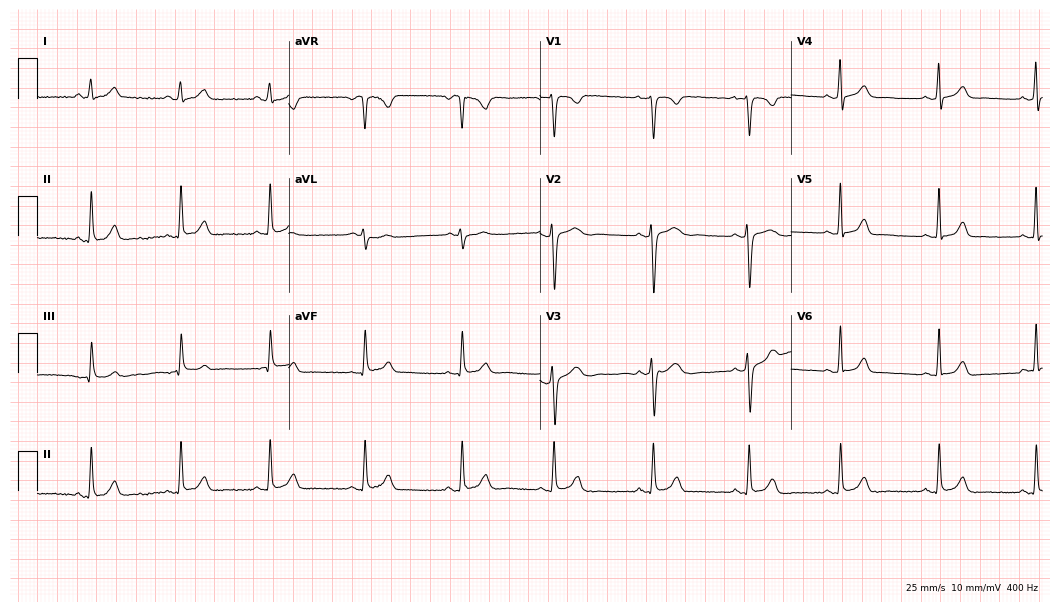
12-lead ECG (10.2-second recording at 400 Hz) from a 27-year-old woman. Labelled as a normal ECG.